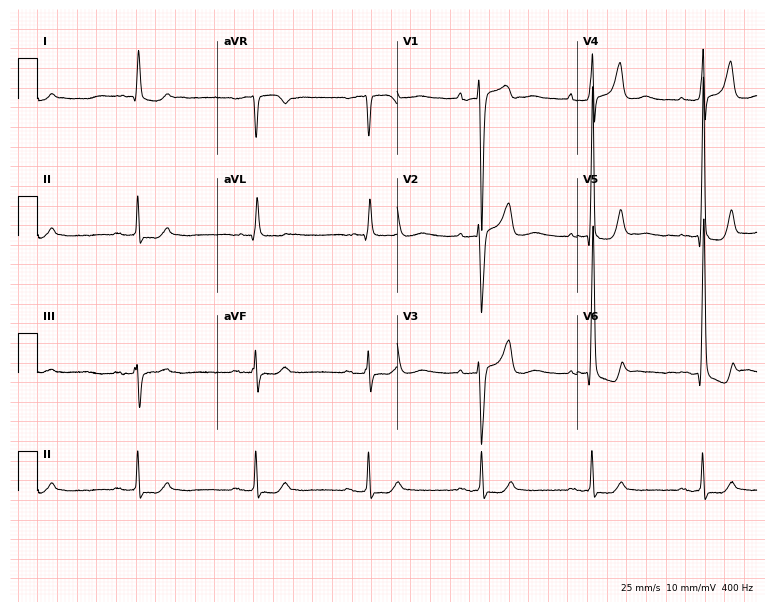
Standard 12-lead ECG recorded from a 79-year-old male. None of these six findings is recorded: first-degree AV block, right bundle branch block, left bundle branch block, sinus bradycardia, atrial fibrillation, sinus tachycardia. Findings outside these six are not listed.